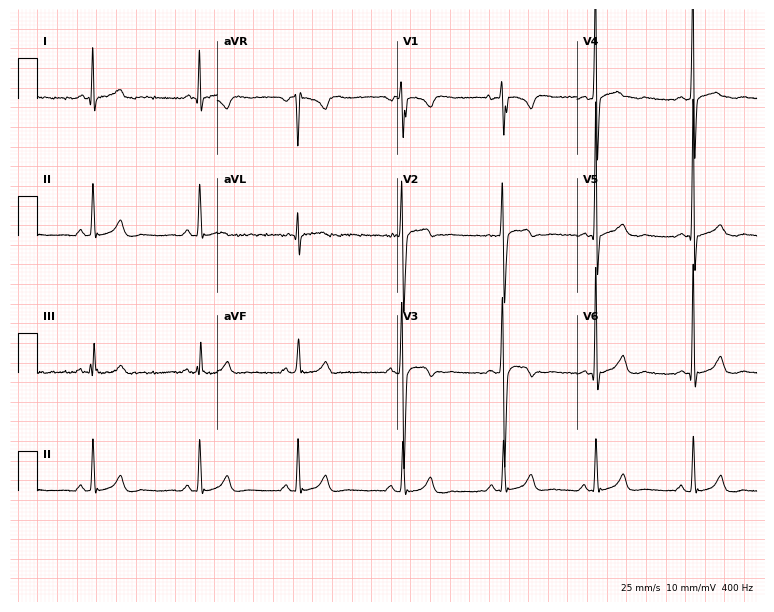
ECG (7.3-second recording at 400 Hz) — a male patient, 28 years old. Labelled as a normal ECG.